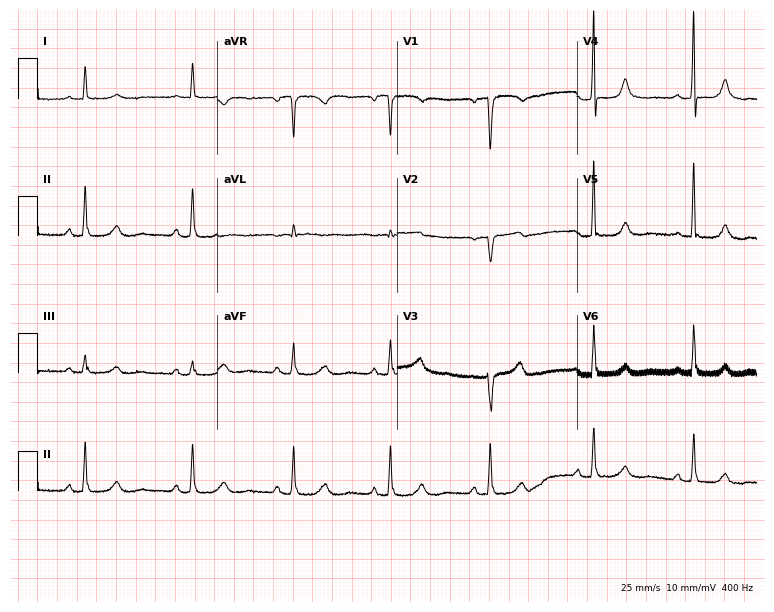
ECG (7.3-second recording at 400 Hz) — a female, 56 years old. Labelled as a normal ECG.